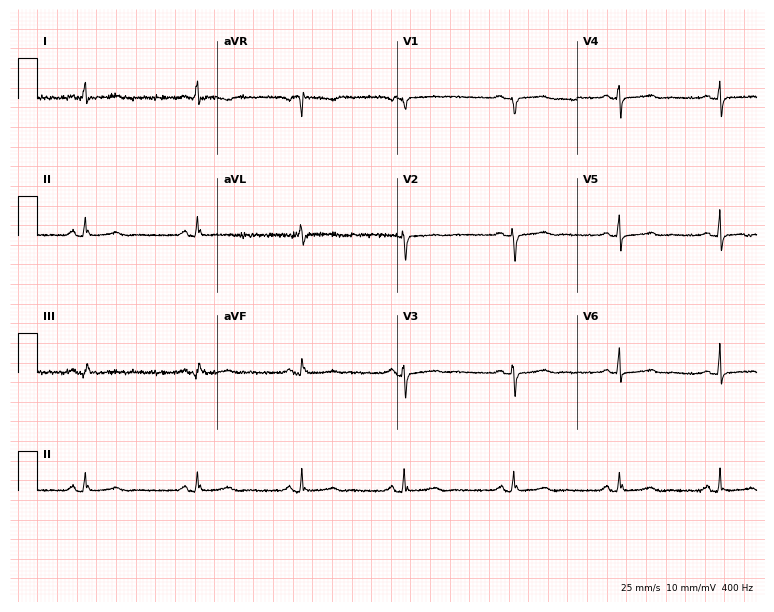
ECG — an 85-year-old female. Screened for six findings — first-degree AV block, right bundle branch block, left bundle branch block, sinus bradycardia, atrial fibrillation, sinus tachycardia — none is recorded. Other findings, if any, are not listed.